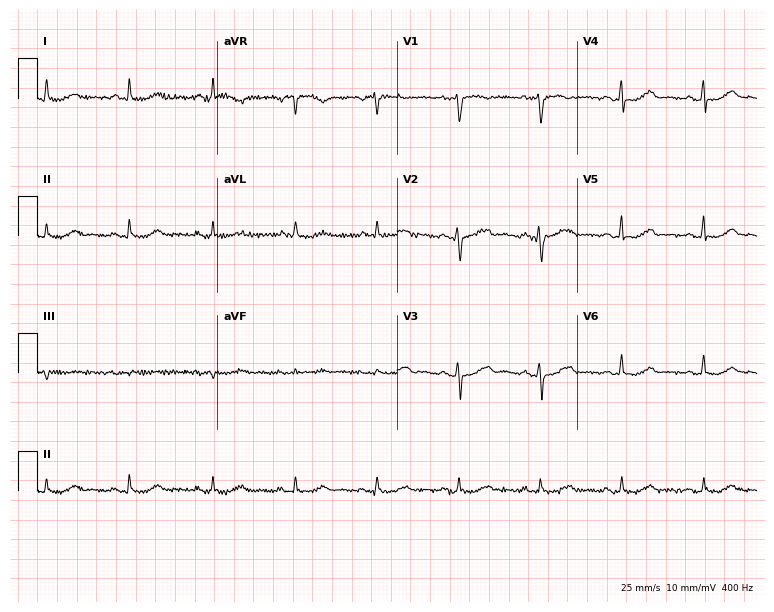
Standard 12-lead ECG recorded from a 53-year-old female (7.3-second recording at 400 Hz). None of these six findings is recorded: first-degree AV block, right bundle branch block, left bundle branch block, sinus bradycardia, atrial fibrillation, sinus tachycardia. Other findings, if any, are not listed.